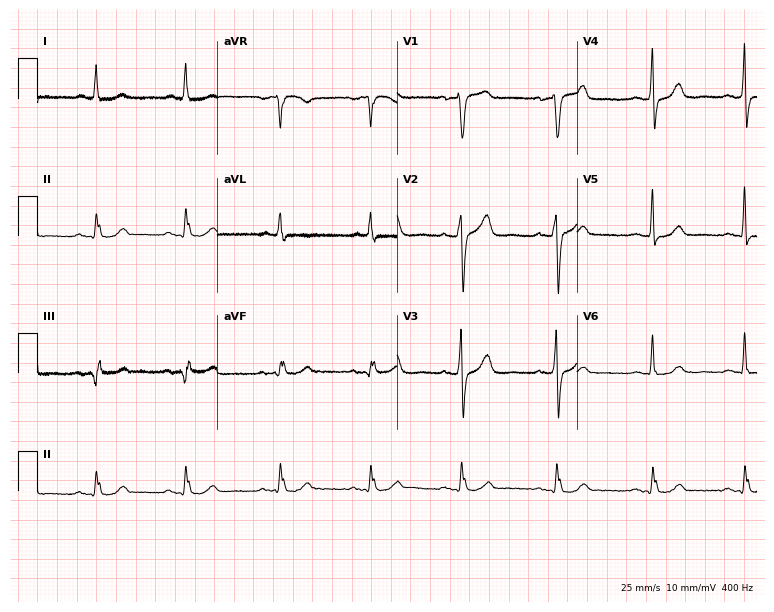
Resting 12-lead electrocardiogram. Patient: a female, 48 years old. None of these six findings is recorded: first-degree AV block, right bundle branch block, left bundle branch block, sinus bradycardia, atrial fibrillation, sinus tachycardia. Other findings, if any, are not listed.